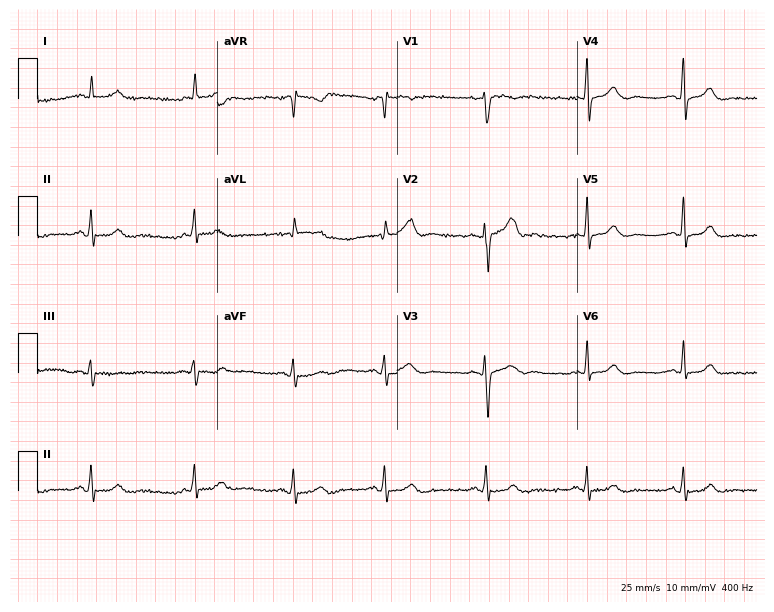
ECG — a 42-year-old female. Screened for six findings — first-degree AV block, right bundle branch block (RBBB), left bundle branch block (LBBB), sinus bradycardia, atrial fibrillation (AF), sinus tachycardia — none is recorded. Only these six findings were labelled.